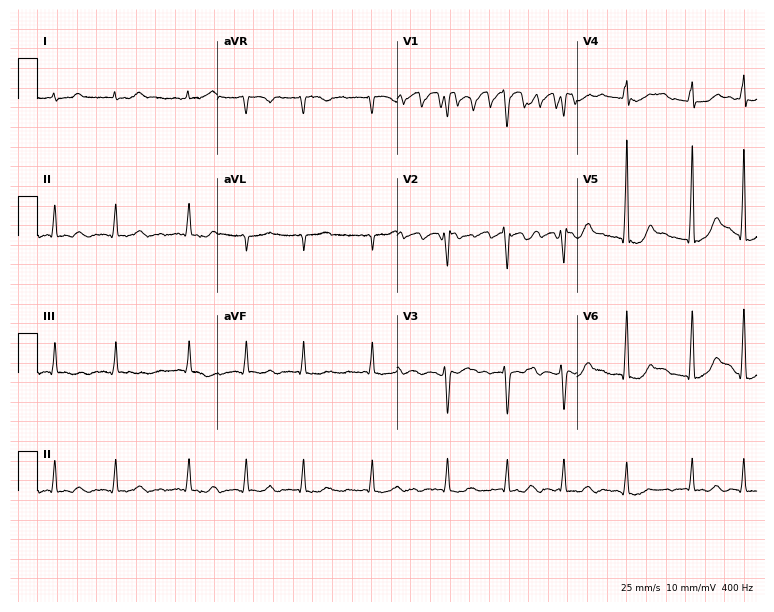
ECG — a woman, 61 years old. Findings include atrial fibrillation.